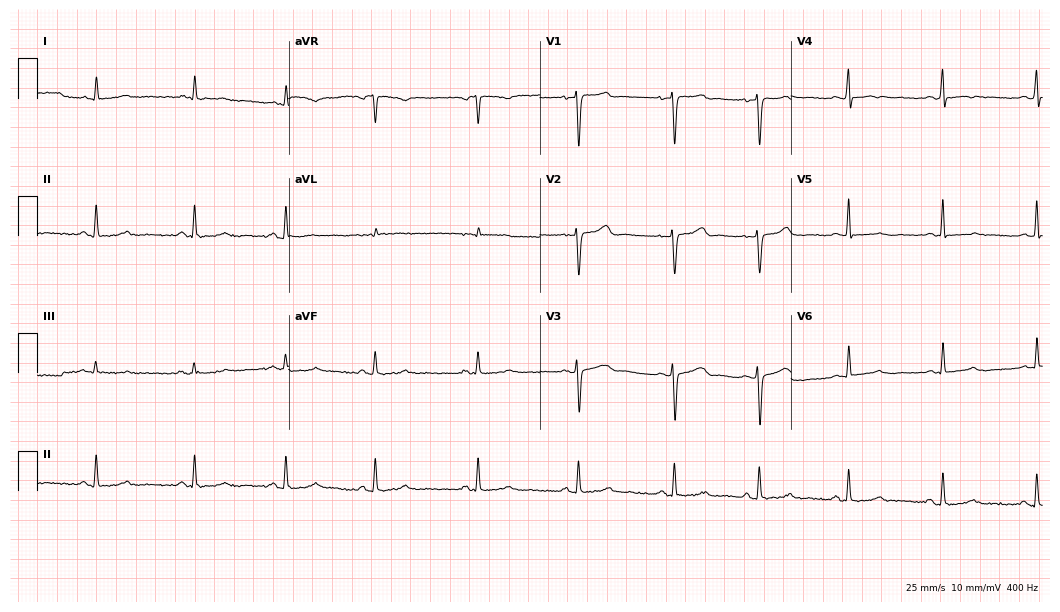
Standard 12-lead ECG recorded from a 34-year-old female (10.2-second recording at 400 Hz). None of these six findings is recorded: first-degree AV block, right bundle branch block, left bundle branch block, sinus bradycardia, atrial fibrillation, sinus tachycardia.